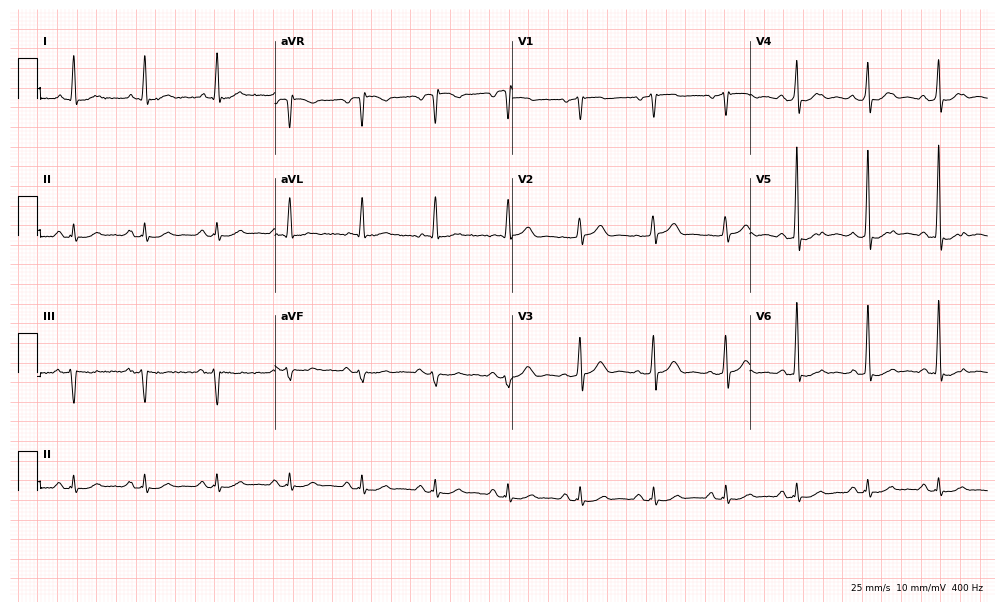
Resting 12-lead electrocardiogram. Patient: a man, 77 years old. None of these six findings is recorded: first-degree AV block, right bundle branch block, left bundle branch block, sinus bradycardia, atrial fibrillation, sinus tachycardia. Other findings, if any, are not listed.